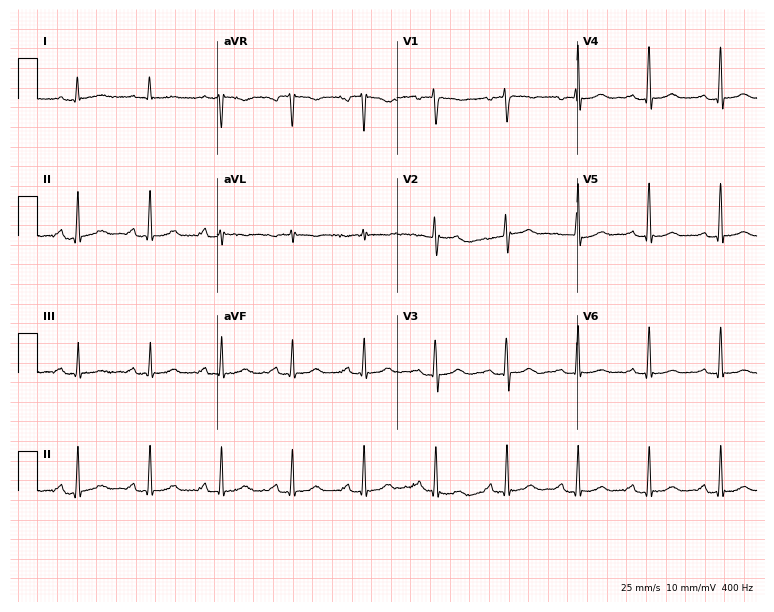
Resting 12-lead electrocardiogram (7.3-second recording at 400 Hz). Patient: a woman, 71 years old. None of these six findings is recorded: first-degree AV block, right bundle branch block, left bundle branch block, sinus bradycardia, atrial fibrillation, sinus tachycardia.